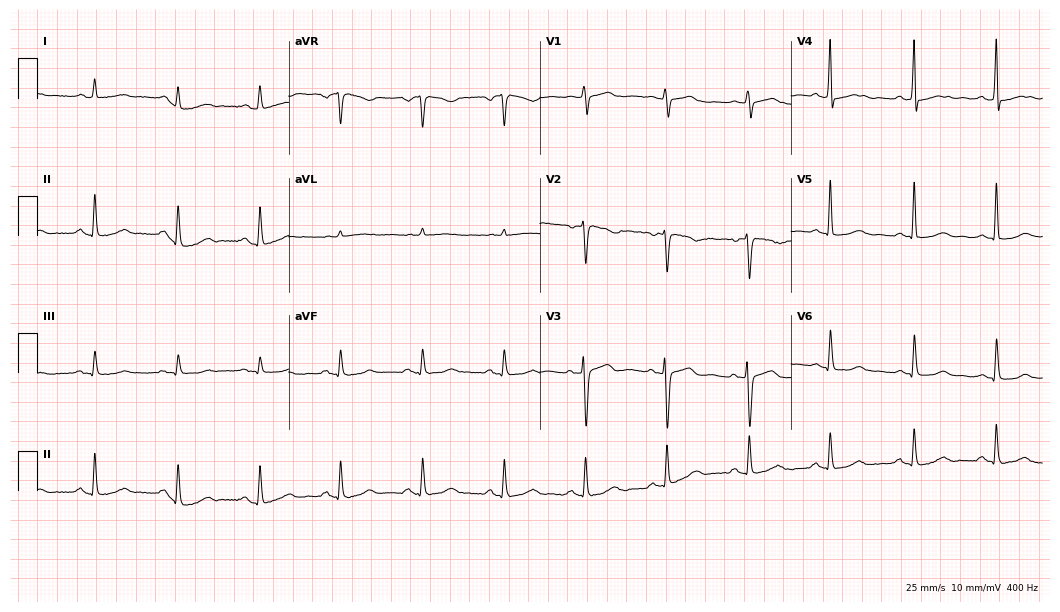
Standard 12-lead ECG recorded from a female patient, 54 years old. Read as a normal ECG.